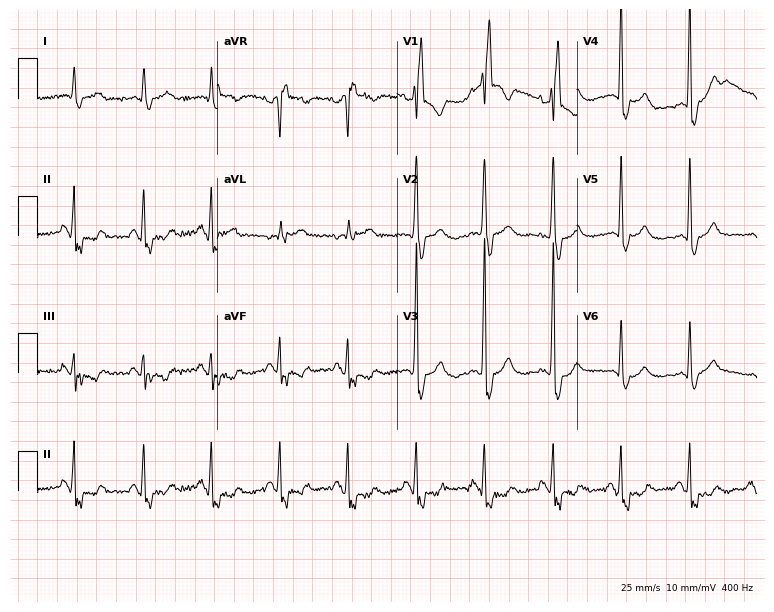
Resting 12-lead electrocardiogram (7.3-second recording at 400 Hz). Patient: a 73-year-old male. The tracing shows right bundle branch block (RBBB).